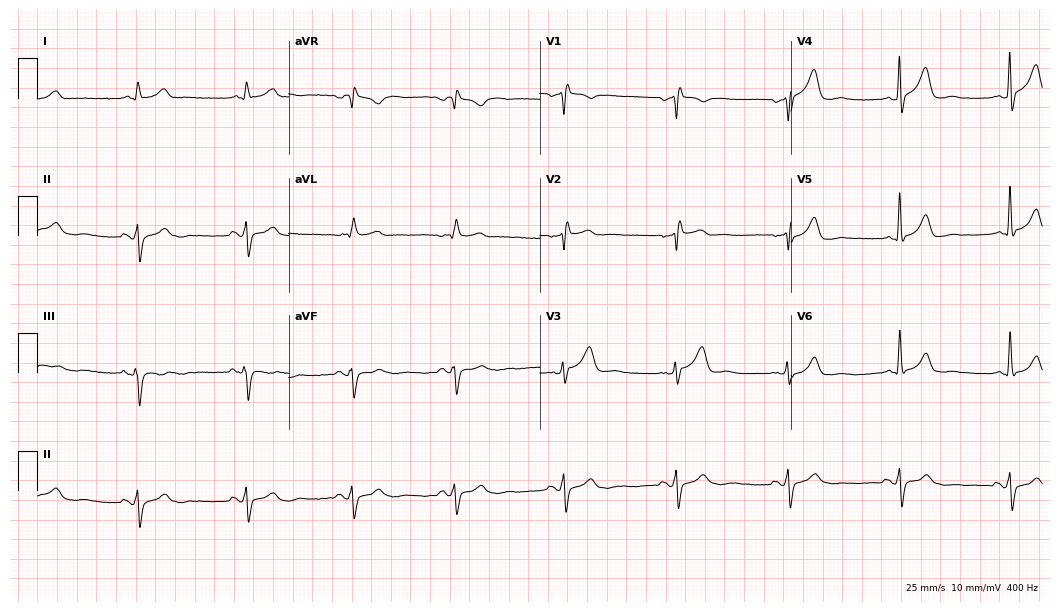
Standard 12-lead ECG recorded from a 52-year-old male patient. The tracing shows right bundle branch block.